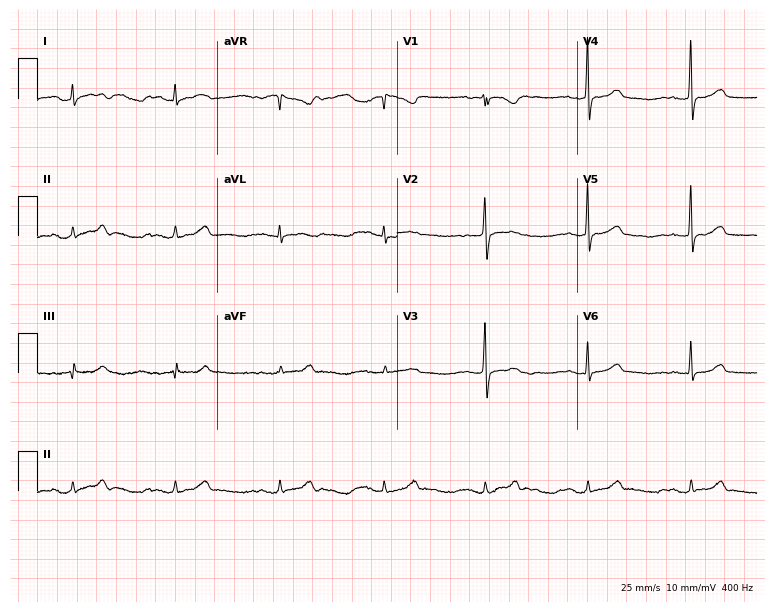
ECG — a female patient, 35 years old. Screened for six findings — first-degree AV block, right bundle branch block (RBBB), left bundle branch block (LBBB), sinus bradycardia, atrial fibrillation (AF), sinus tachycardia — none is recorded.